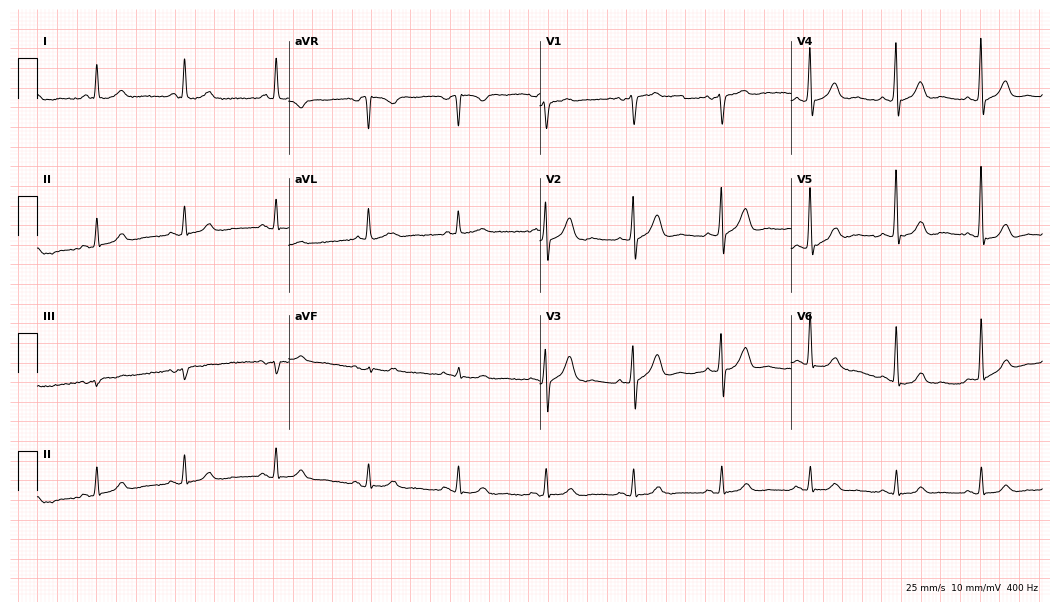
Standard 12-lead ECG recorded from a 76-year-old male. Read as a normal ECG.